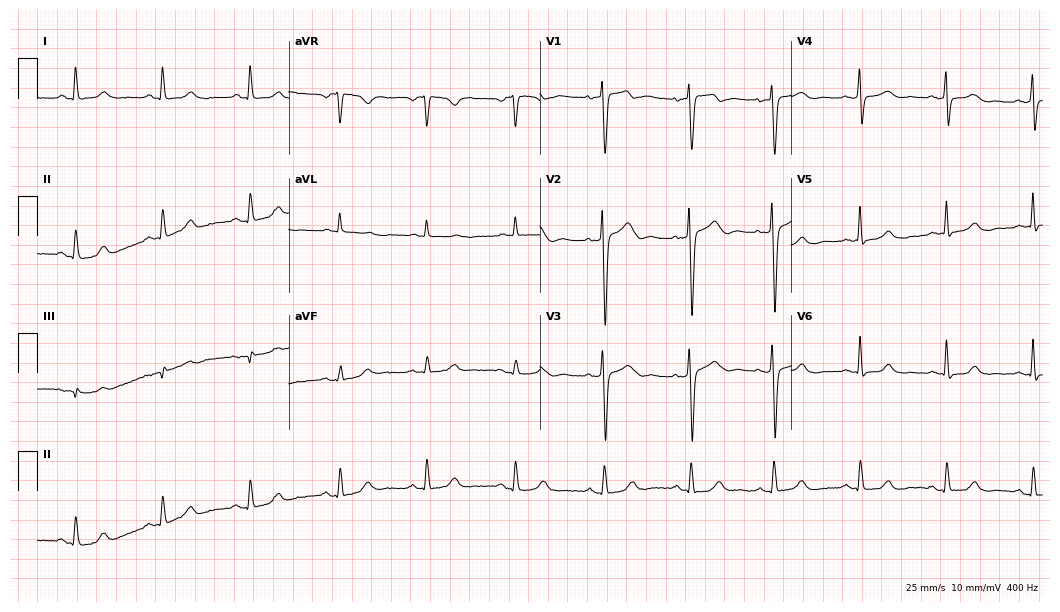
Standard 12-lead ECG recorded from a female patient, 45 years old (10.2-second recording at 400 Hz). Read as a normal ECG.